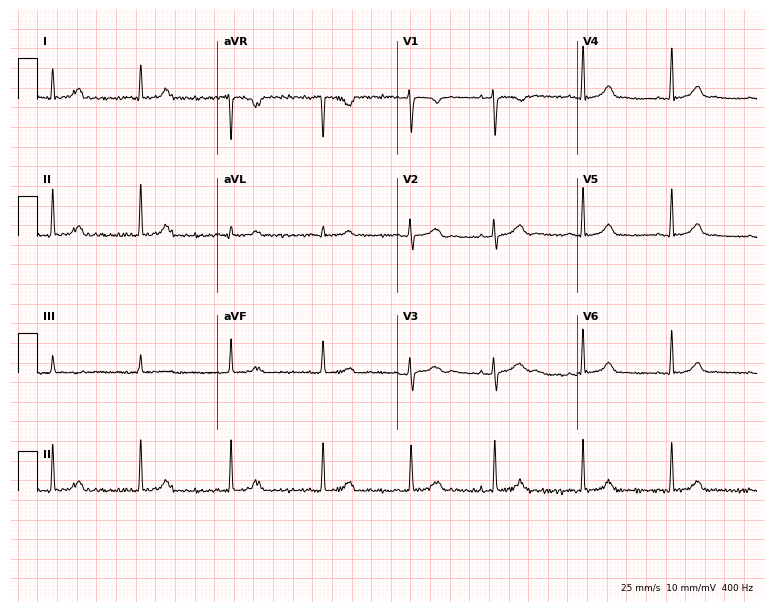
12-lead ECG from a female patient, 35 years old. No first-degree AV block, right bundle branch block, left bundle branch block, sinus bradycardia, atrial fibrillation or sinus tachycardia recorded for this tracing. Other findings, if any, are not listed.